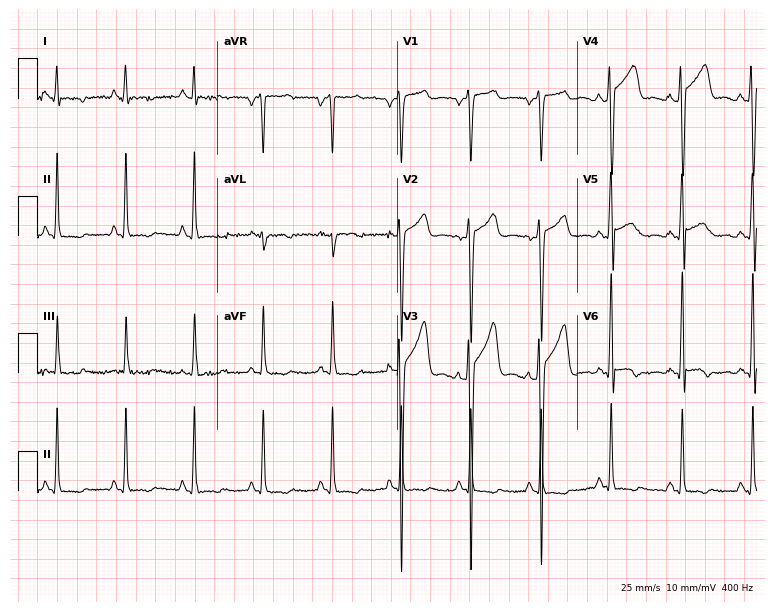
Electrocardiogram, a 37-year-old male patient. Of the six screened findings (first-degree AV block, right bundle branch block, left bundle branch block, sinus bradycardia, atrial fibrillation, sinus tachycardia), none is recorded. Findings outside these six are not listed.